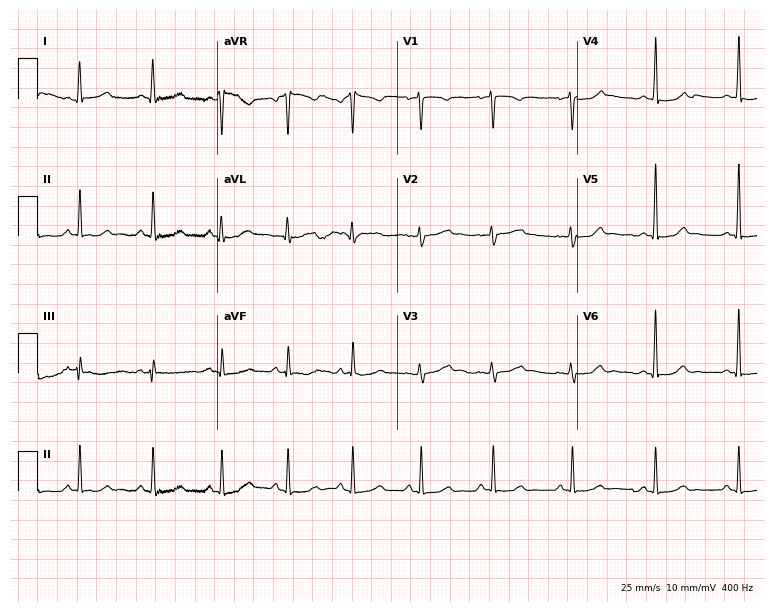
12-lead ECG from a 44-year-old woman. No first-degree AV block, right bundle branch block (RBBB), left bundle branch block (LBBB), sinus bradycardia, atrial fibrillation (AF) or sinus tachycardia recorded for this tracing.